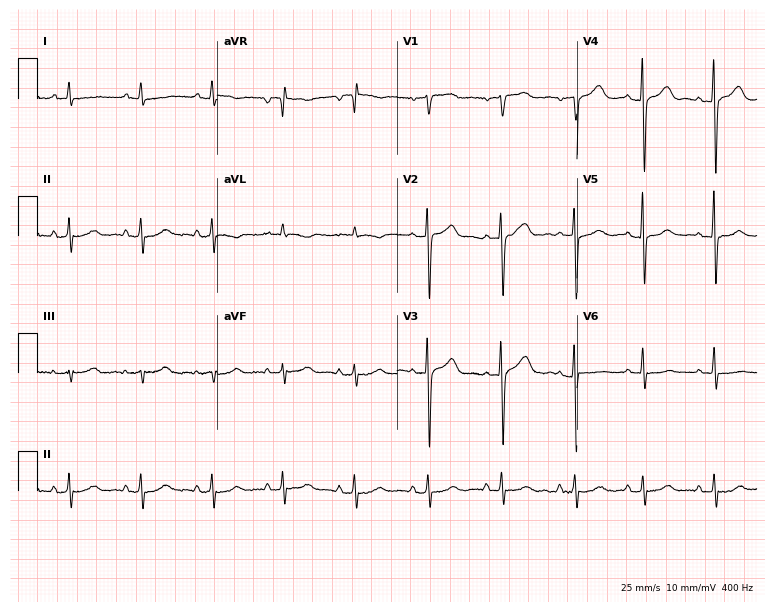
12-lead ECG from a 33-year-old female patient. No first-degree AV block, right bundle branch block, left bundle branch block, sinus bradycardia, atrial fibrillation or sinus tachycardia recorded for this tracing. Other findings, if any, are not listed.